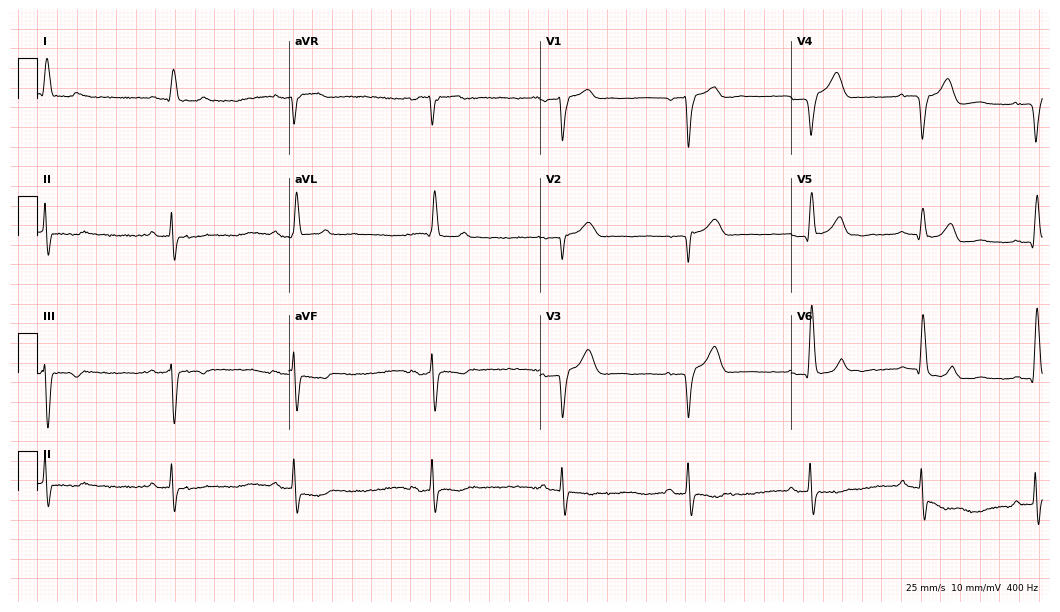
12-lead ECG from a man, 79 years old. Findings include left bundle branch block.